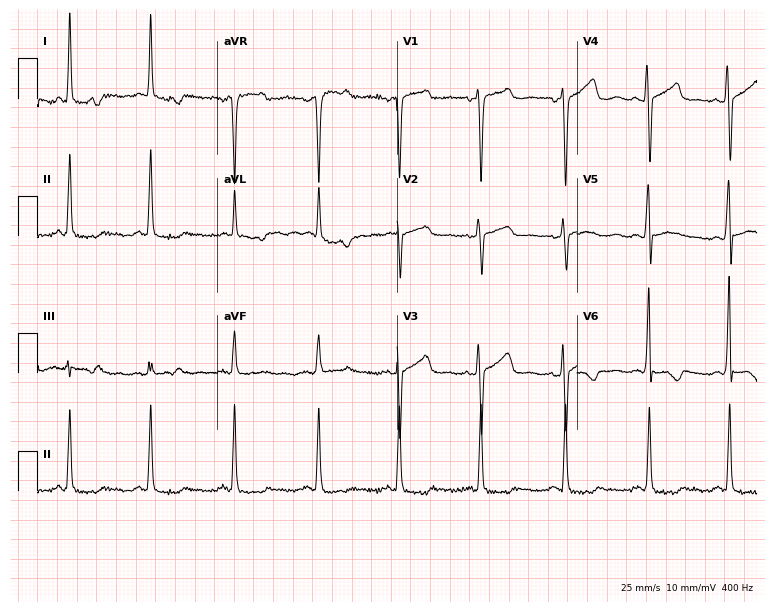
12-lead ECG from a 47-year-old woman (7.3-second recording at 400 Hz). No first-degree AV block, right bundle branch block (RBBB), left bundle branch block (LBBB), sinus bradycardia, atrial fibrillation (AF) or sinus tachycardia recorded for this tracing.